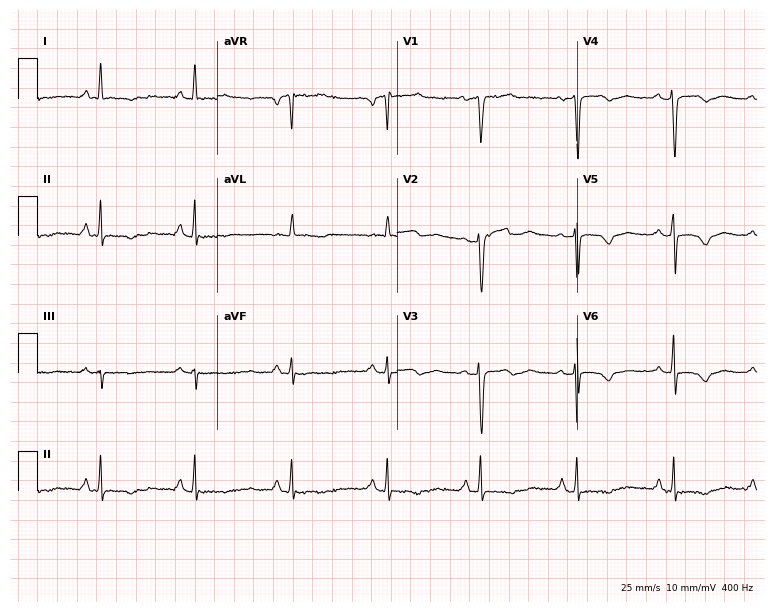
12-lead ECG from a female patient, 49 years old (7.3-second recording at 400 Hz). No first-degree AV block, right bundle branch block, left bundle branch block, sinus bradycardia, atrial fibrillation or sinus tachycardia recorded for this tracing.